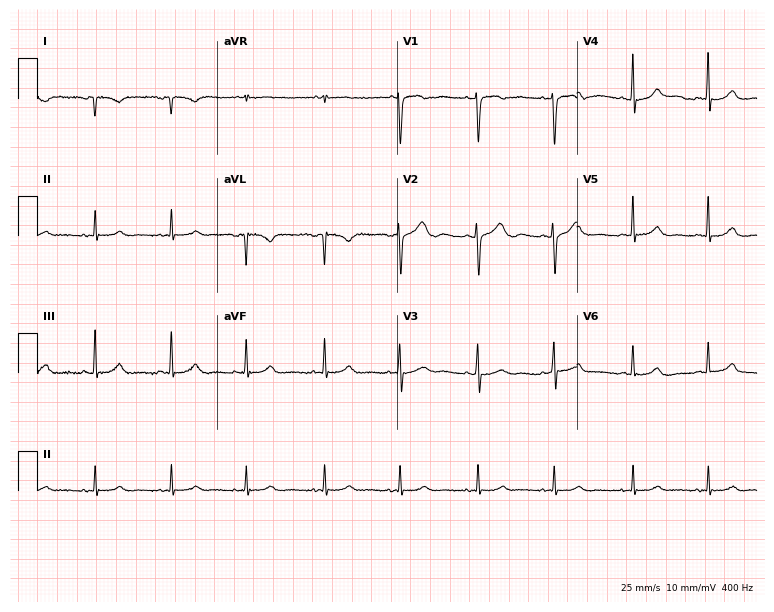
Electrocardiogram, a female patient, 17 years old. Of the six screened findings (first-degree AV block, right bundle branch block, left bundle branch block, sinus bradycardia, atrial fibrillation, sinus tachycardia), none is recorded.